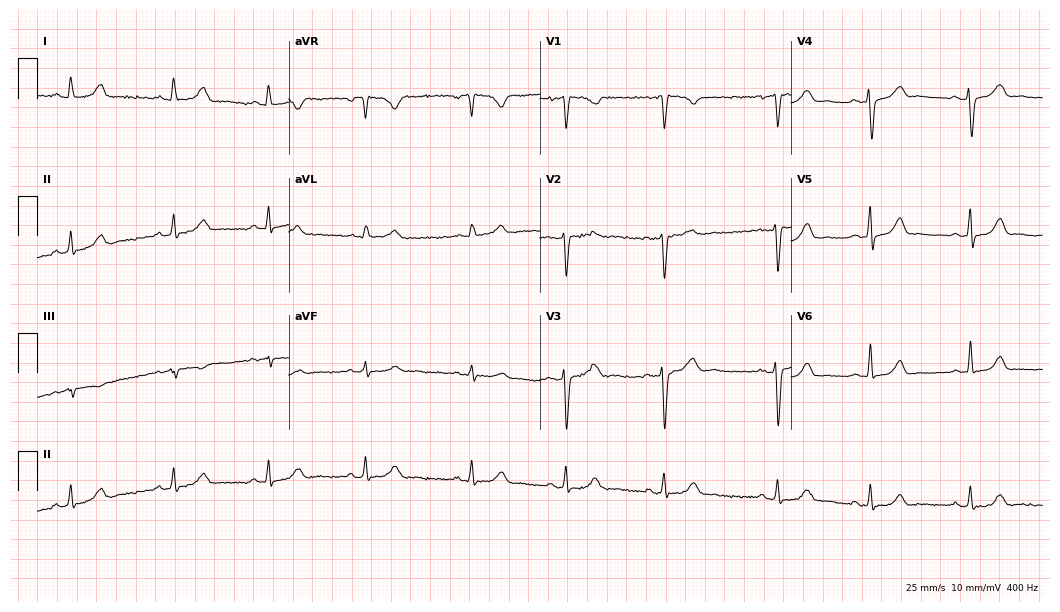
Standard 12-lead ECG recorded from a 29-year-old female. Read as a normal ECG.